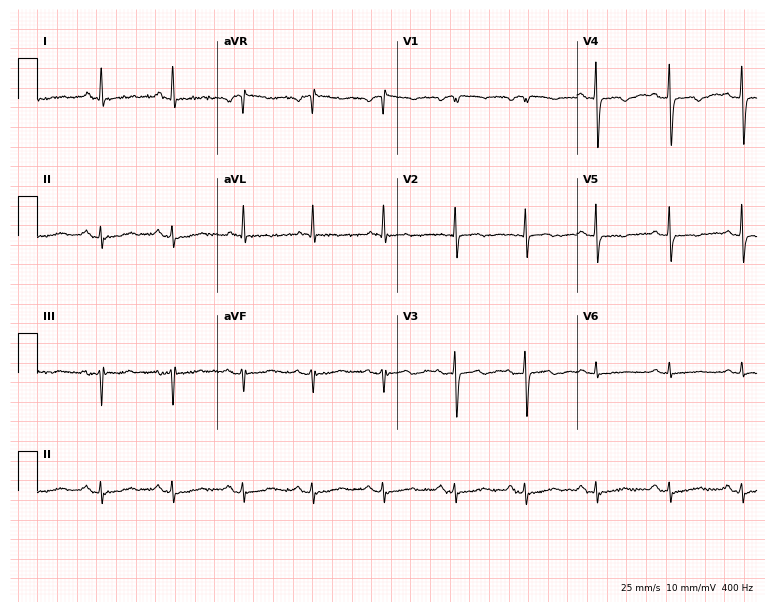
12-lead ECG from a female patient, 78 years old. No first-degree AV block, right bundle branch block, left bundle branch block, sinus bradycardia, atrial fibrillation or sinus tachycardia recorded for this tracing. Other findings, if any, are not listed.